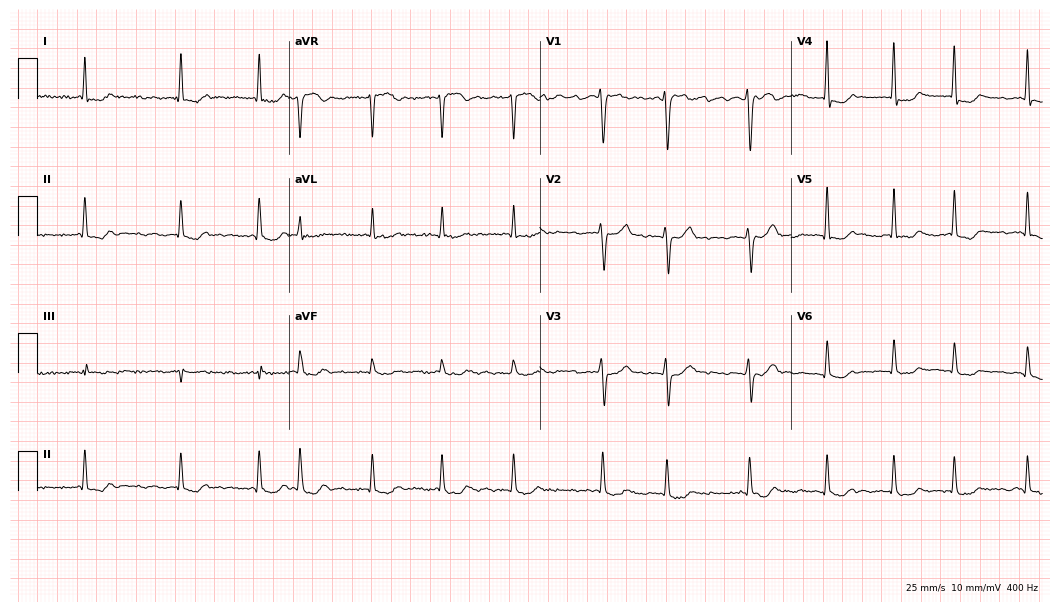
ECG — a 68-year-old female. Findings include atrial fibrillation.